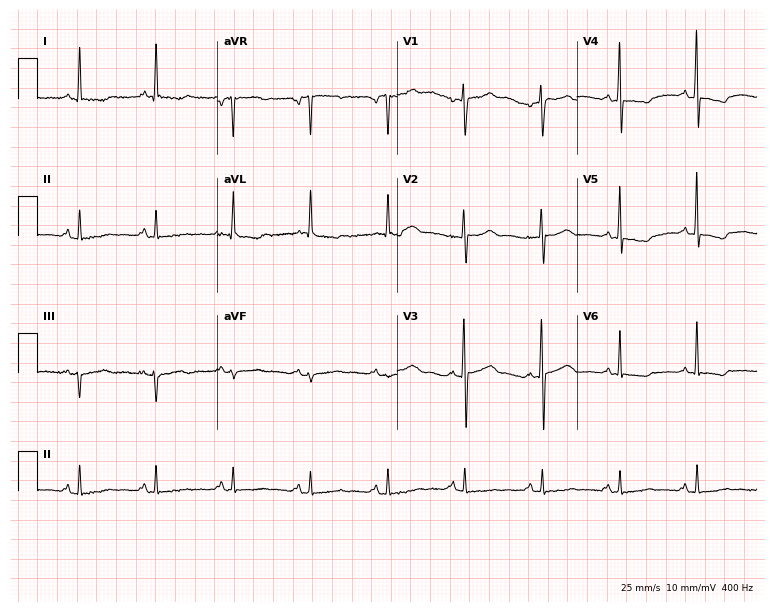
Standard 12-lead ECG recorded from a 73-year-old female (7.3-second recording at 400 Hz). None of these six findings is recorded: first-degree AV block, right bundle branch block, left bundle branch block, sinus bradycardia, atrial fibrillation, sinus tachycardia. Only these six findings were labelled.